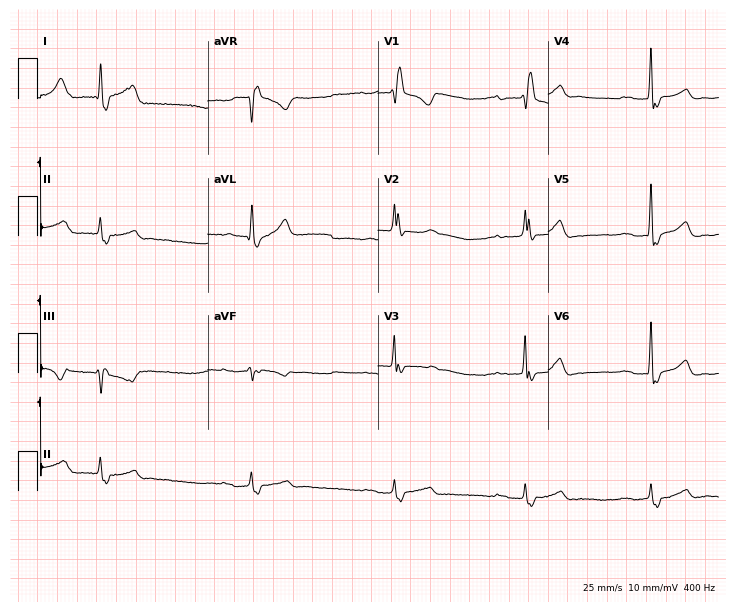
ECG — a 79-year-old female patient. Screened for six findings — first-degree AV block, right bundle branch block (RBBB), left bundle branch block (LBBB), sinus bradycardia, atrial fibrillation (AF), sinus tachycardia — none is recorded. Only these six findings were labelled.